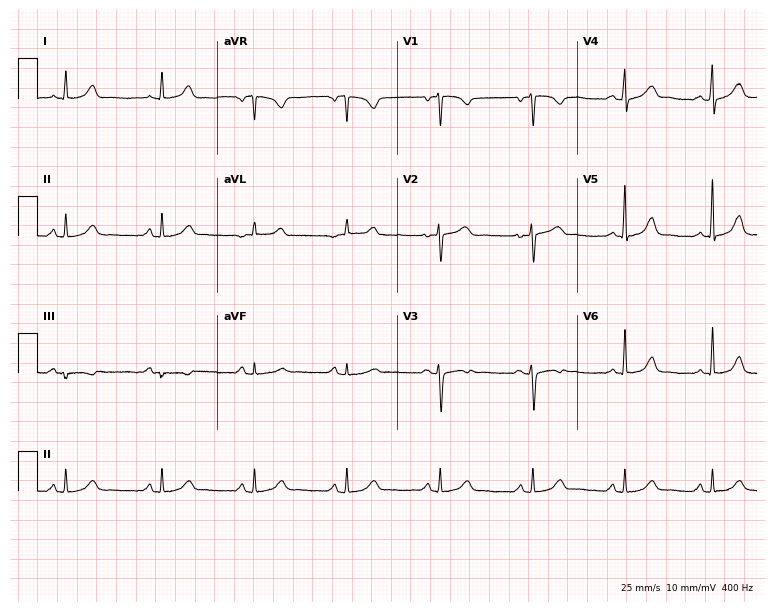
12-lead ECG from a 48-year-old woman. Labelled as a normal ECG.